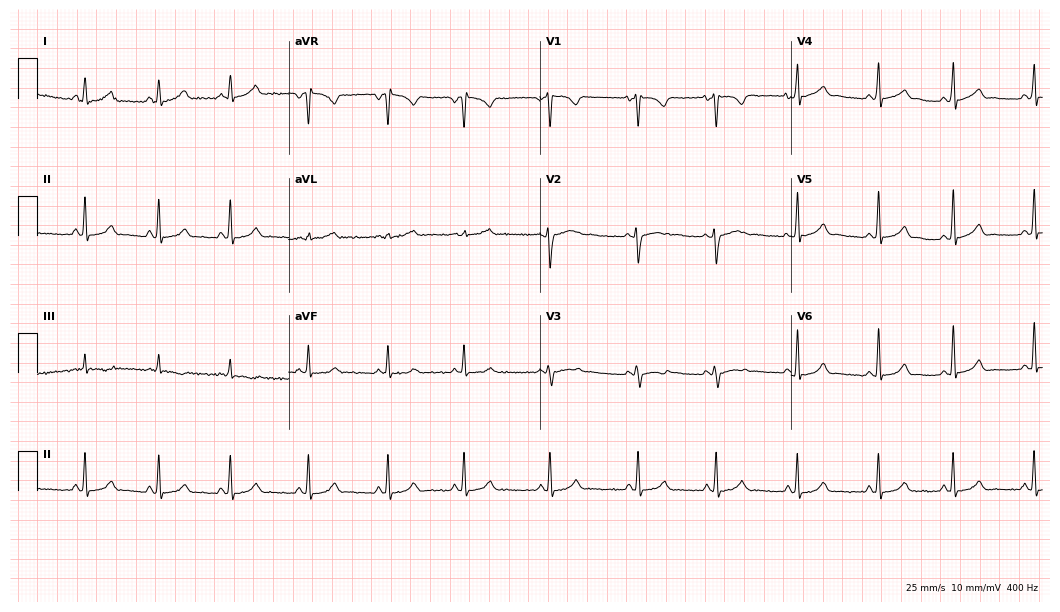
Electrocardiogram, an 18-year-old woman. Overall reading on record: normal ECG.